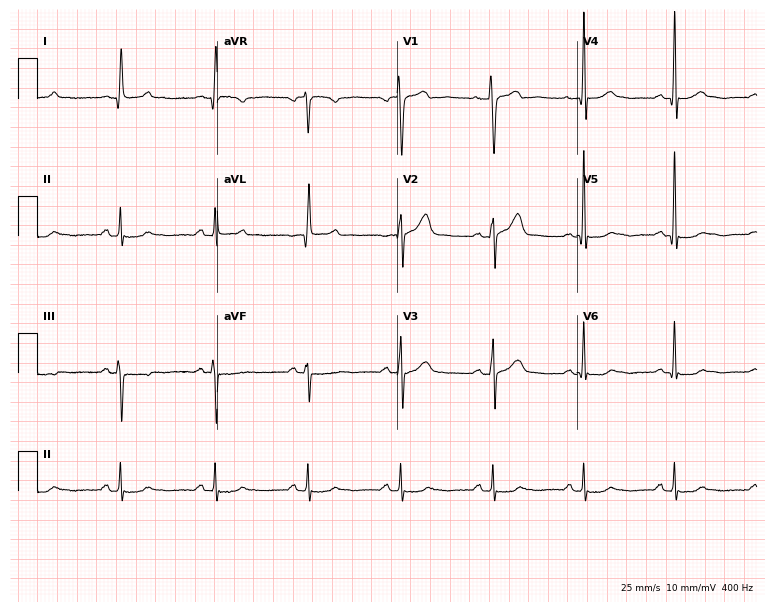
12-lead ECG from a 76-year-old male patient. Screened for six findings — first-degree AV block, right bundle branch block, left bundle branch block, sinus bradycardia, atrial fibrillation, sinus tachycardia — none is recorded. Other findings, if any, are not listed.